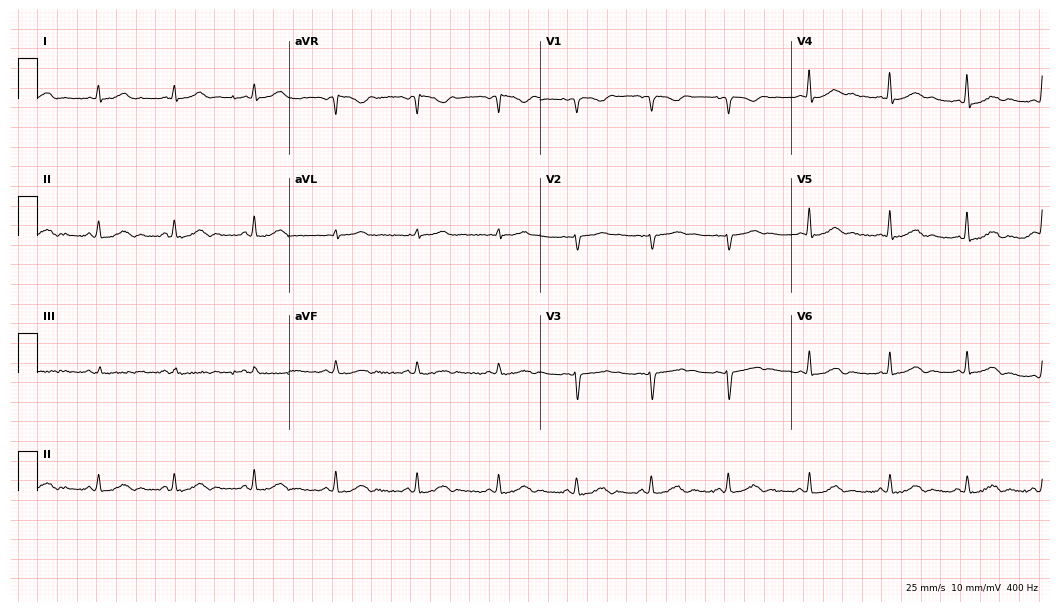
Standard 12-lead ECG recorded from a woman, 18 years old (10.2-second recording at 400 Hz). None of these six findings is recorded: first-degree AV block, right bundle branch block (RBBB), left bundle branch block (LBBB), sinus bradycardia, atrial fibrillation (AF), sinus tachycardia. Findings outside these six are not listed.